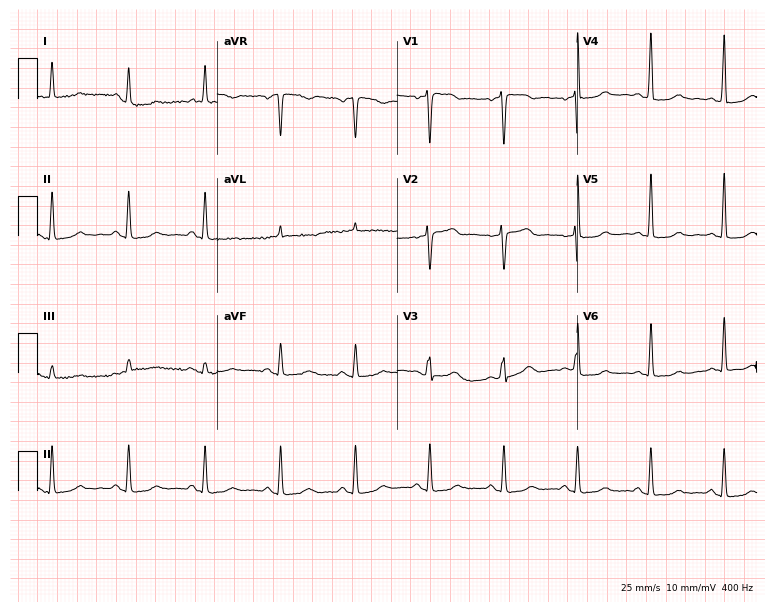
Electrocardiogram (7.3-second recording at 400 Hz), a male, 72 years old. Of the six screened findings (first-degree AV block, right bundle branch block, left bundle branch block, sinus bradycardia, atrial fibrillation, sinus tachycardia), none is recorded.